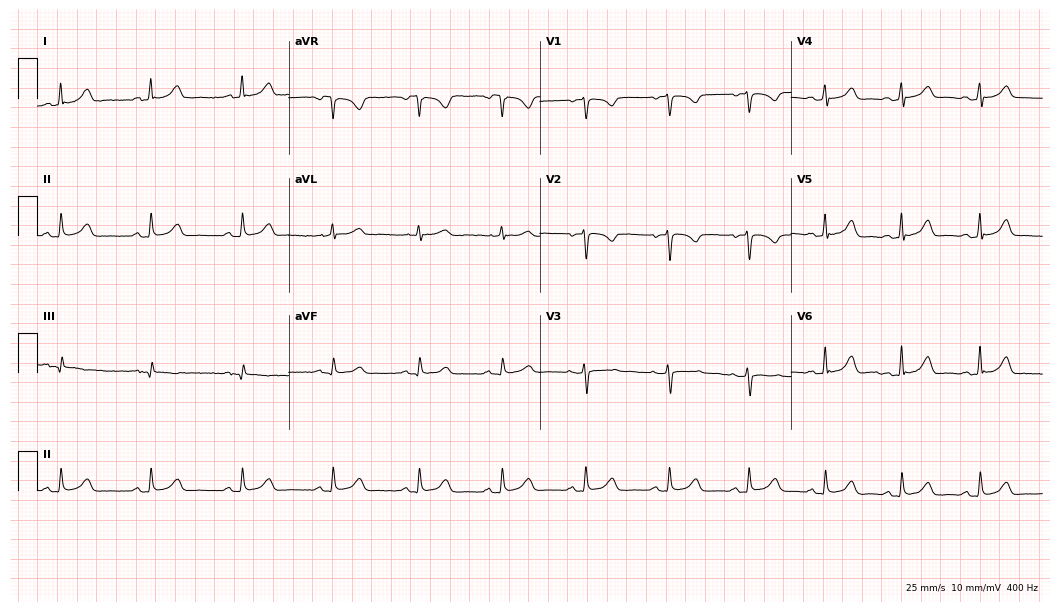
ECG — a female patient, 42 years old. Labelled as a normal ECG.